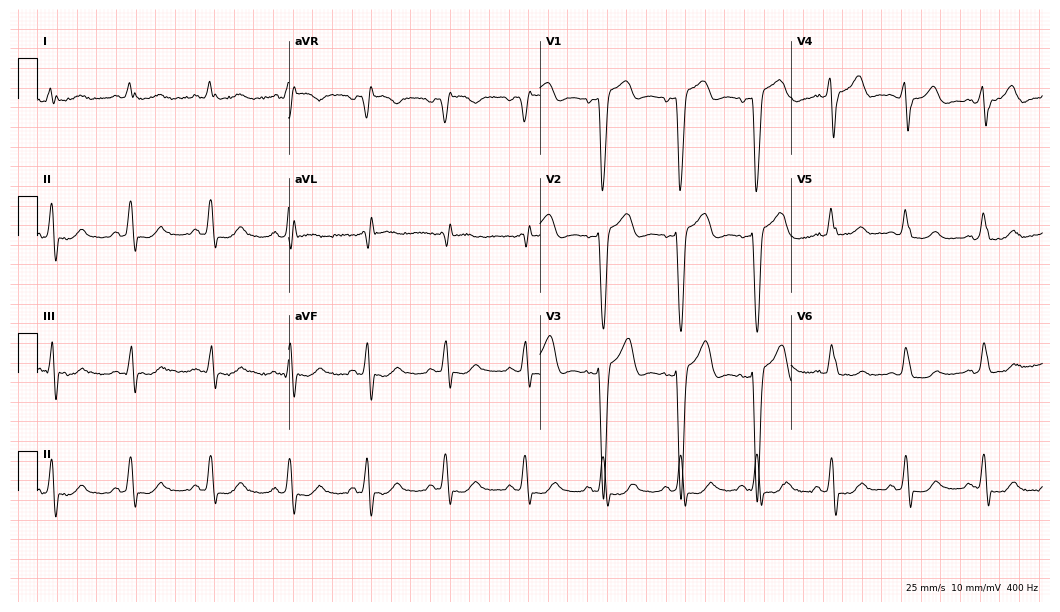
Standard 12-lead ECG recorded from an 84-year-old woman (10.2-second recording at 400 Hz). The tracing shows left bundle branch block (LBBB).